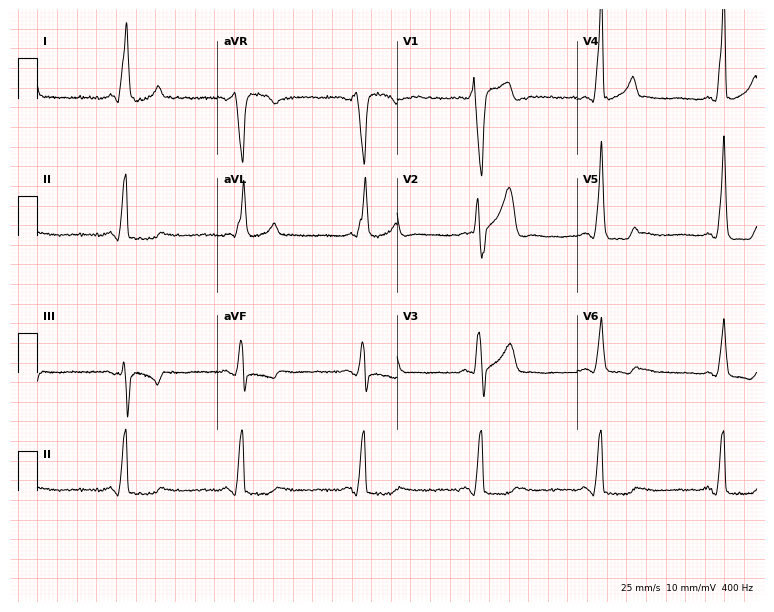
Resting 12-lead electrocardiogram. Patient: a male, 40 years old. The tracing shows right bundle branch block, left bundle branch block, sinus bradycardia (a sinus rate of 50 beats per minute or less).